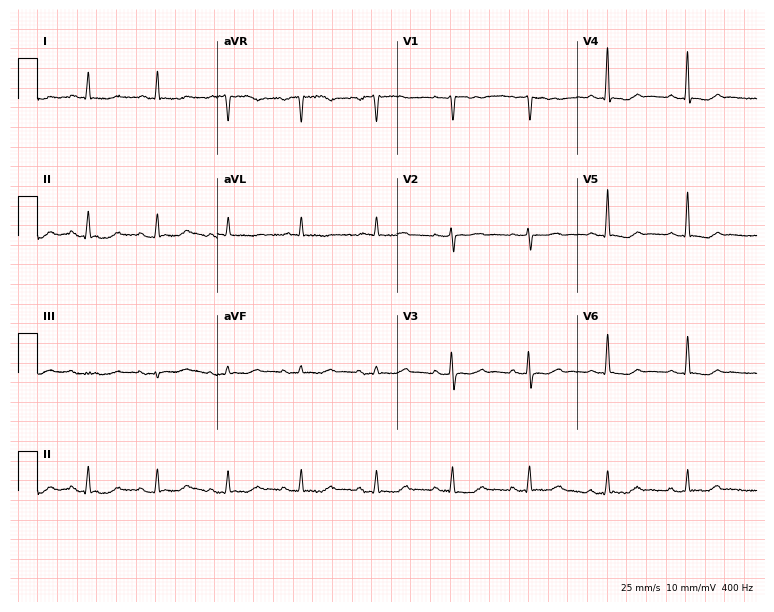
Standard 12-lead ECG recorded from a female patient, 78 years old. None of these six findings is recorded: first-degree AV block, right bundle branch block, left bundle branch block, sinus bradycardia, atrial fibrillation, sinus tachycardia.